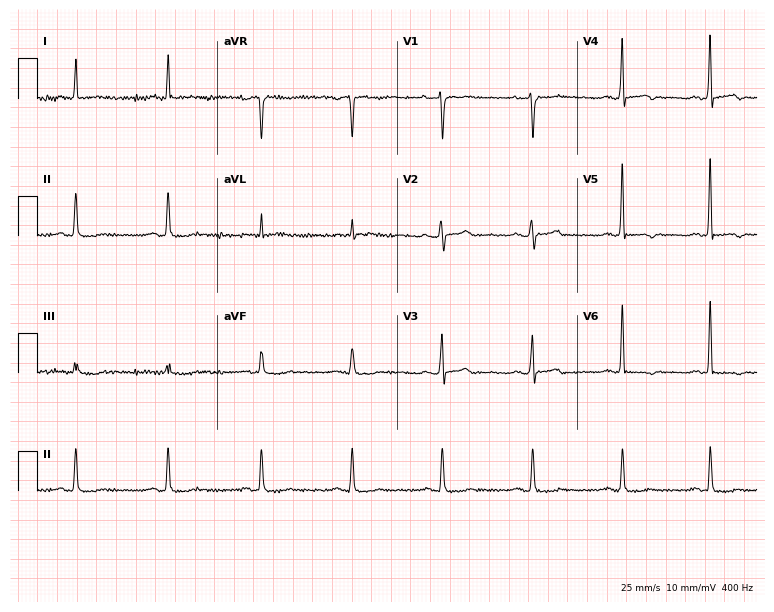
ECG — a male patient, 60 years old. Screened for six findings — first-degree AV block, right bundle branch block, left bundle branch block, sinus bradycardia, atrial fibrillation, sinus tachycardia — none is recorded.